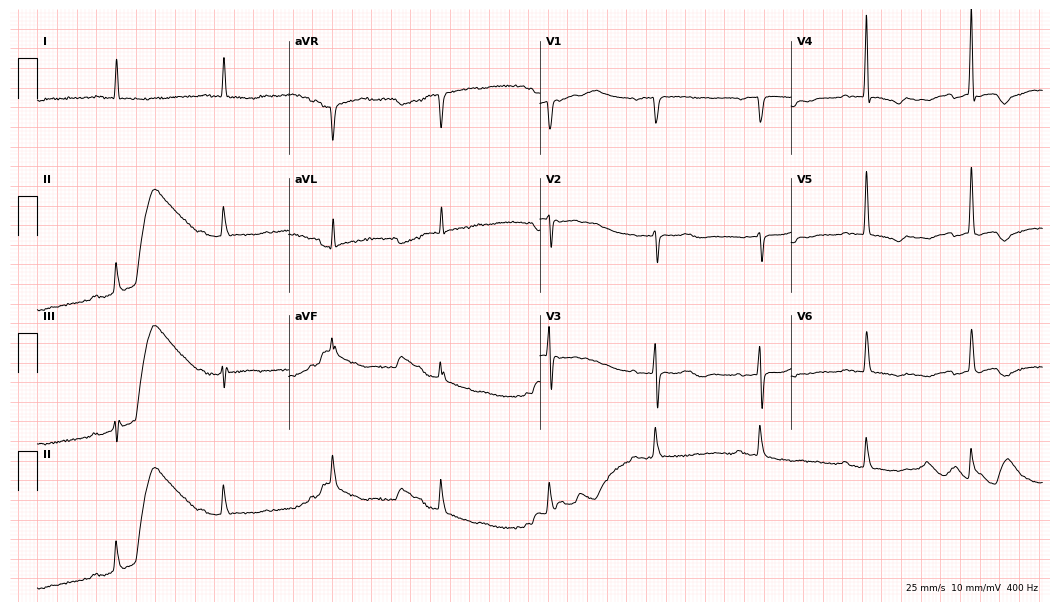
12-lead ECG (10.2-second recording at 400 Hz) from a female, 35 years old. Screened for six findings — first-degree AV block, right bundle branch block, left bundle branch block, sinus bradycardia, atrial fibrillation, sinus tachycardia — none is recorded. Other findings, if any, are not listed.